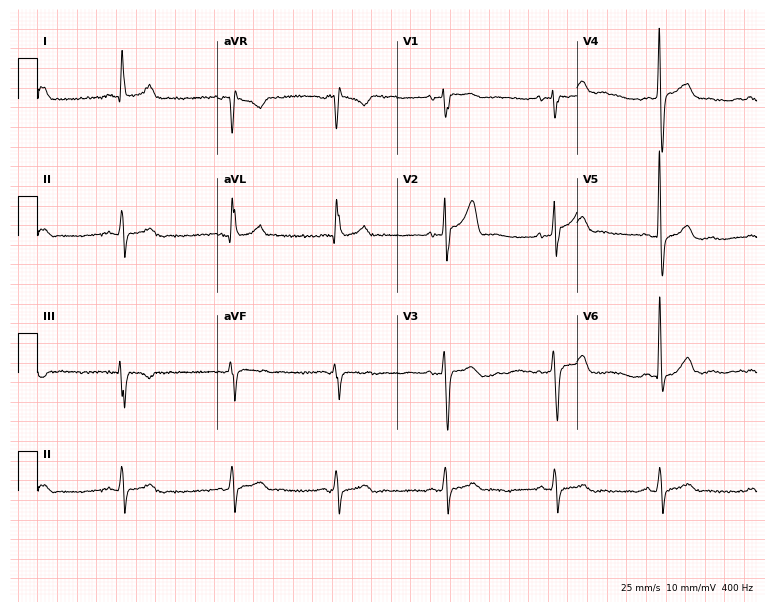
Resting 12-lead electrocardiogram (7.3-second recording at 400 Hz). Patient: a male, 70 years old. None of these six findings is recorded: first-degree AV block, right bundle branch block (RBBB), left bundle branch block (LBBB), sinus bradycardia, atrial fibrillation (AF), sinus tachycardia. Findings outside these six are not listed.